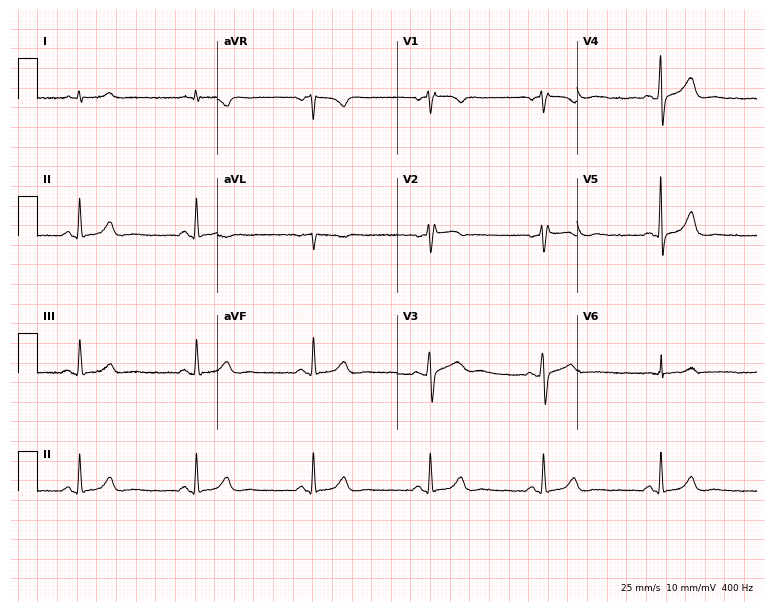
ECG — a woman, 60 years old. Screened for six findings — first-degree AV block, right bundle branch block, left bundle branch block, sinus bradycardia, atrial fibrillation, sinus tachycardia — none is recorded. Only these six findings were labelled.